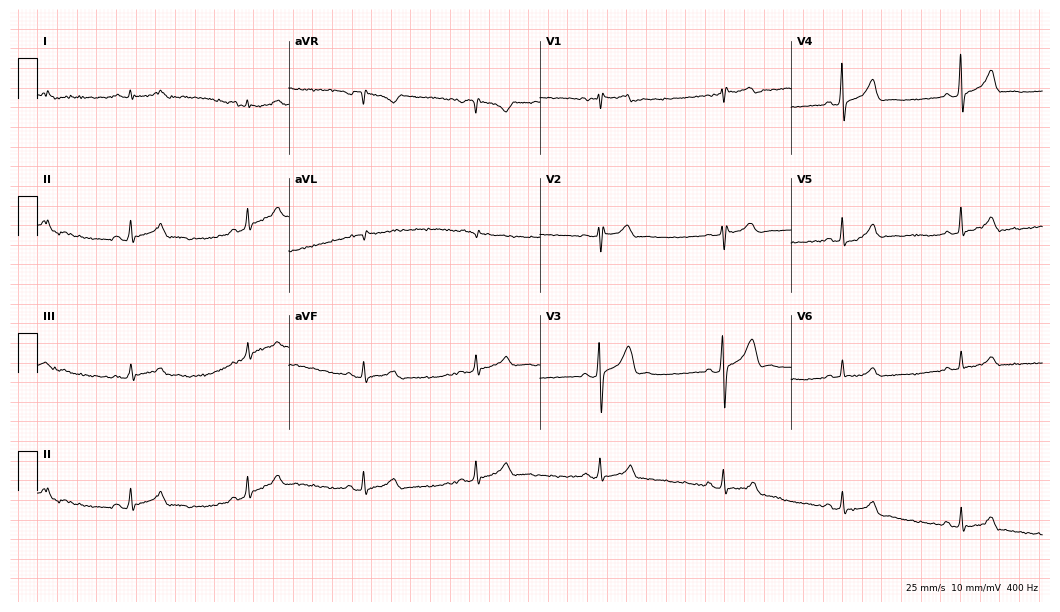
12-lead ECG from a male patient, 54 years old (10.2-second recording at 400 Hz). No first-degree AV block, right bundle branch block, left bundle branch block, sinus bradycardia, atrial fibrillation or sinus tachycardia recorded for this tracing.